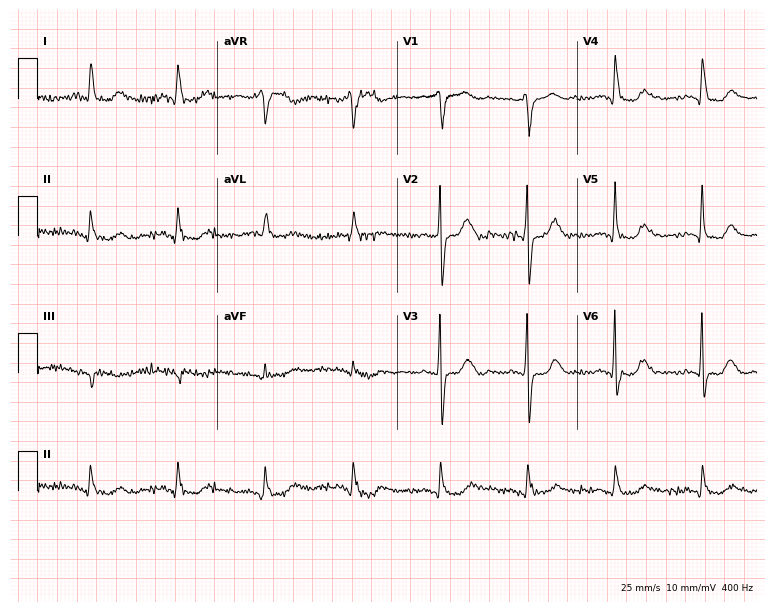
ECG — a 74-year-old male patient. Screened for six findings — first-degree AV block, right bundle branch block, left bundle branch block, sinus bradycardia, atrial fibrillation, sinus tachycardia — none is recorded. Only these six findings were labelled.